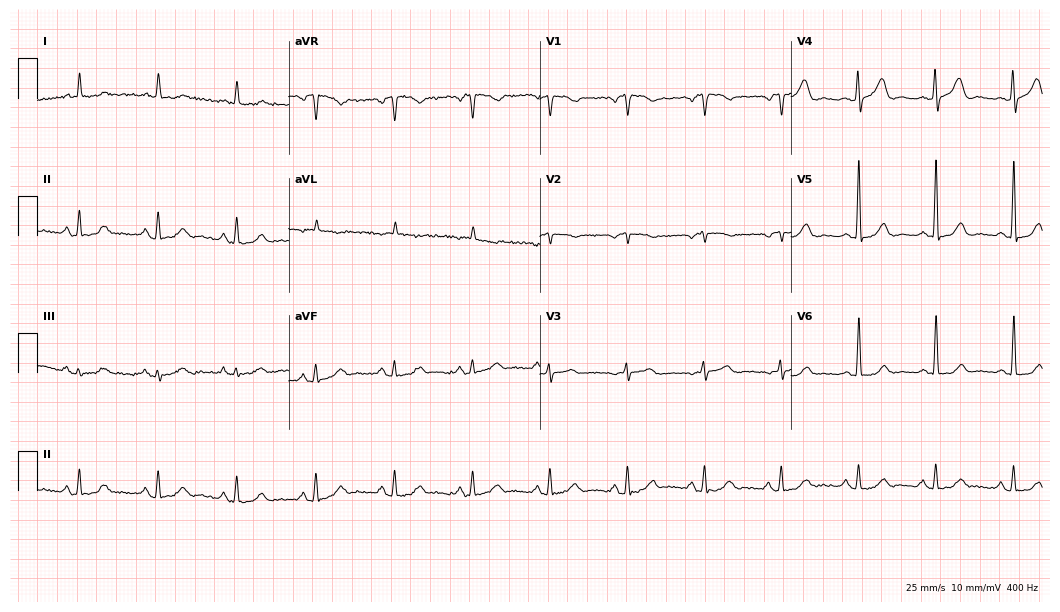
12-lead ECG from a woman, 60 years old. No first-degree AV block, right bundle branch block (RBBB), left bundle branch block (LBBB), sinus bradycardia, atrial fibrillation (AF) or sinus tachycardia recorded for this tracing. Other findings, if any, are not listed.